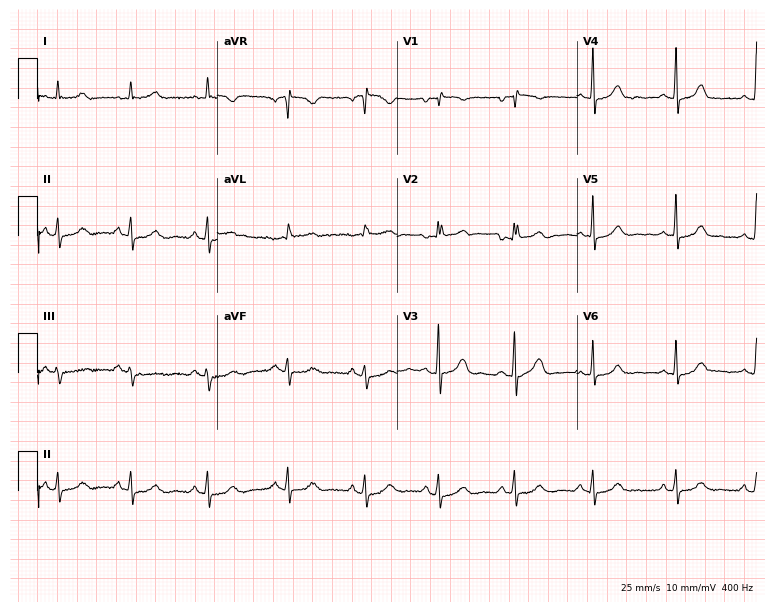
ECG — a female patient, 31 years old. Screened for six findings — first-degree AV block, right bundle branch block, left bundle branch block, sinus bradycardia, atrial fibrillation, sinus tachycardia — none is recorded. Other findings, if any, are not listed.